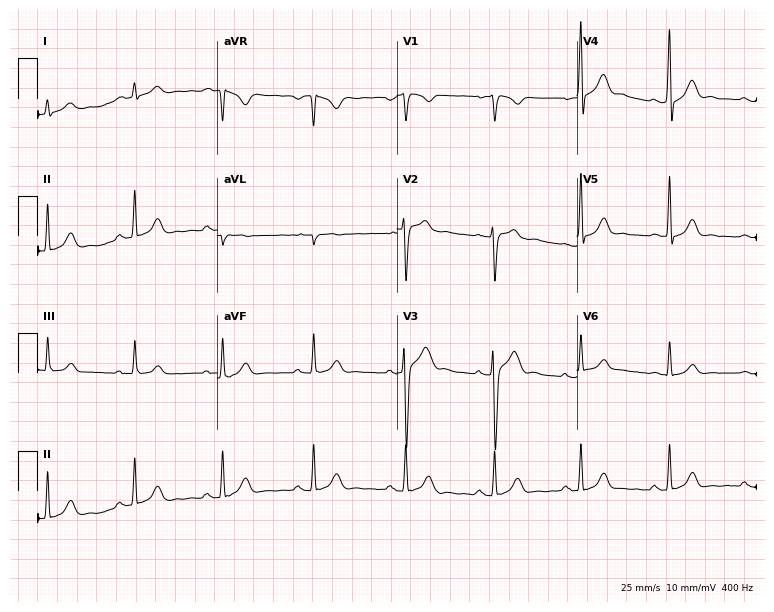
Resting 12-lead electrocardiogram (7.3-second recording at 400 Hz). Patient: a 19-year-old male. None of these six findings is recorded: first-degree AV block, right bundle branch block, left bundle branch block, sinus bradycardia, atrial fibrillation, sinus tachycardia. Only these six findings were labelled.